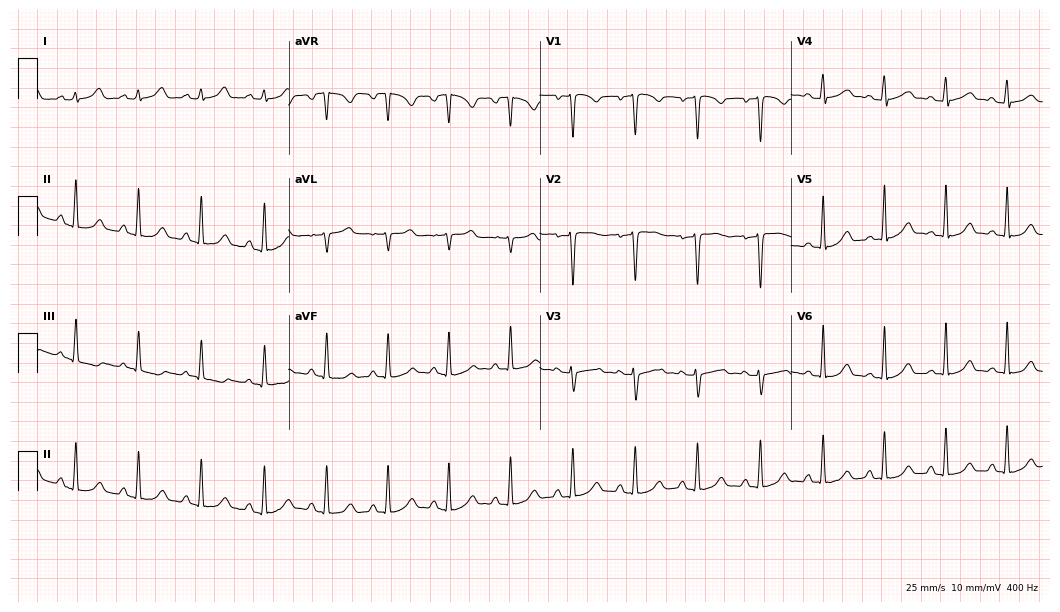
Standard 12-lead ECG recorded from a female, 36 years old (10.2-second recording at 400 Hz). None of these six findings is recorded: first-degree AV block, right bundle branch block, left bundle branch block, sinus bradycardia, atrial fibrillation, sinus tachycardia. Other findings, if any, are not listed.